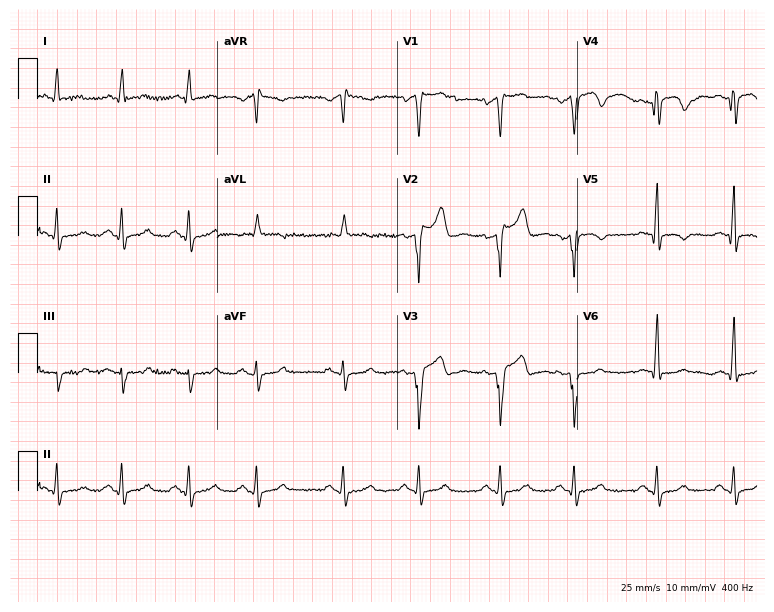
12-lead ECG from a man, 55 years old. No first-degree AV block, right bundle branch block, left bundle branch block, sinus bradycardia, atrial fibrillation or sinus tachycardia recorded for this tracing.